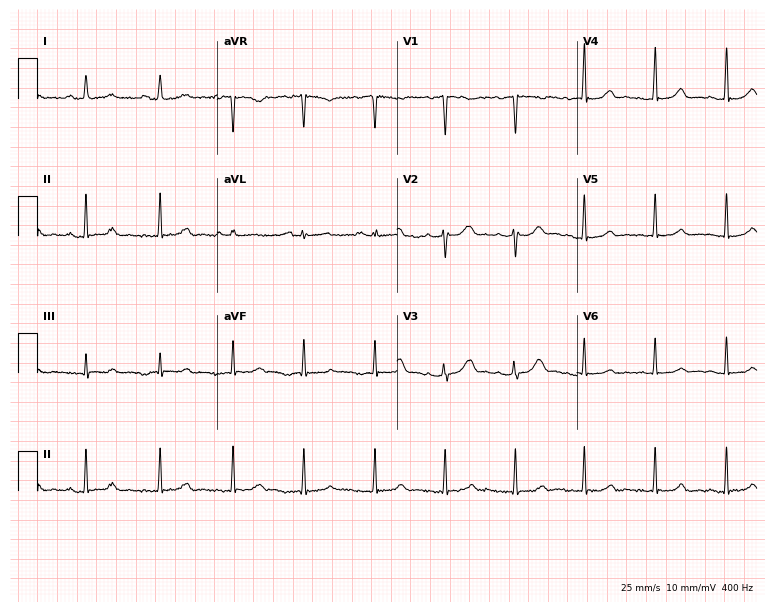
Resting 12-lead electrocardiogram. Patient: a 44-year-old female. Read as a normal ECG.